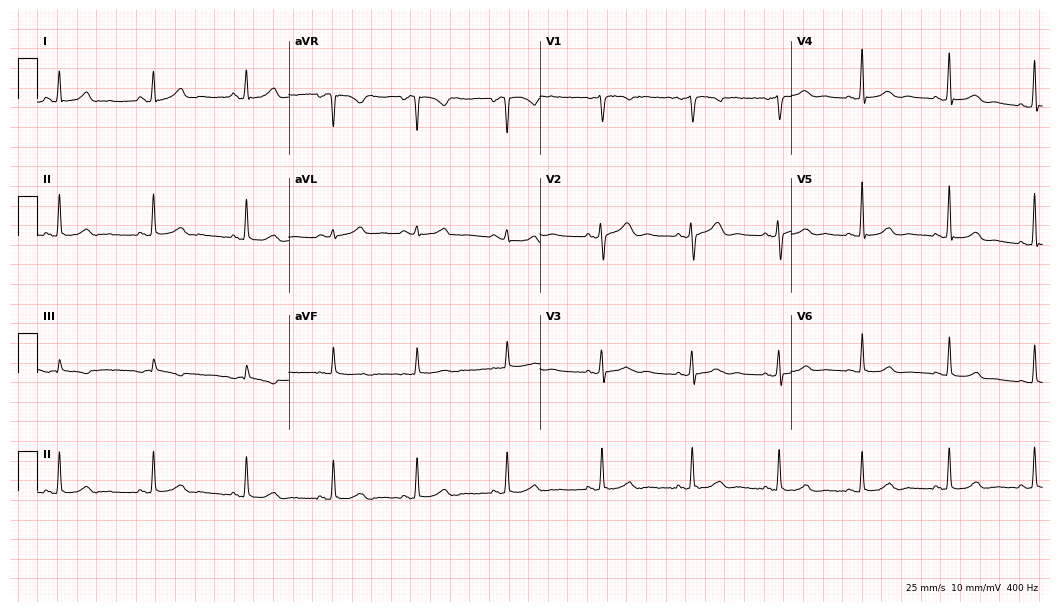
12-lead ECG (10.2-second recording at 400 Hz) from a woman, 33 years old. Labelled as a normal ECG.